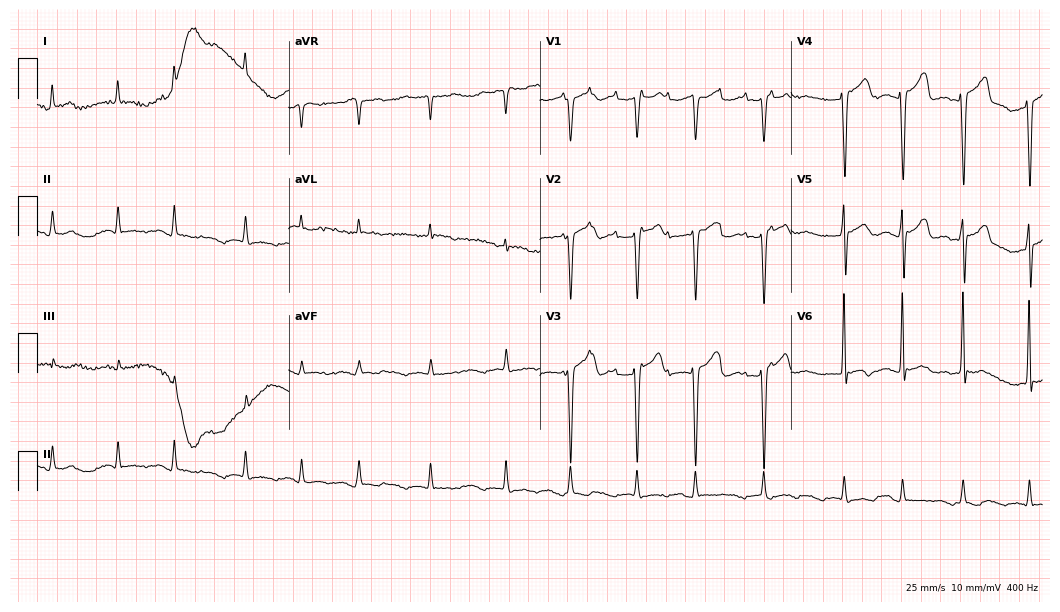
12-lead ECG from a 76-year-old male patient. Shows atrial fibrillation (AF).